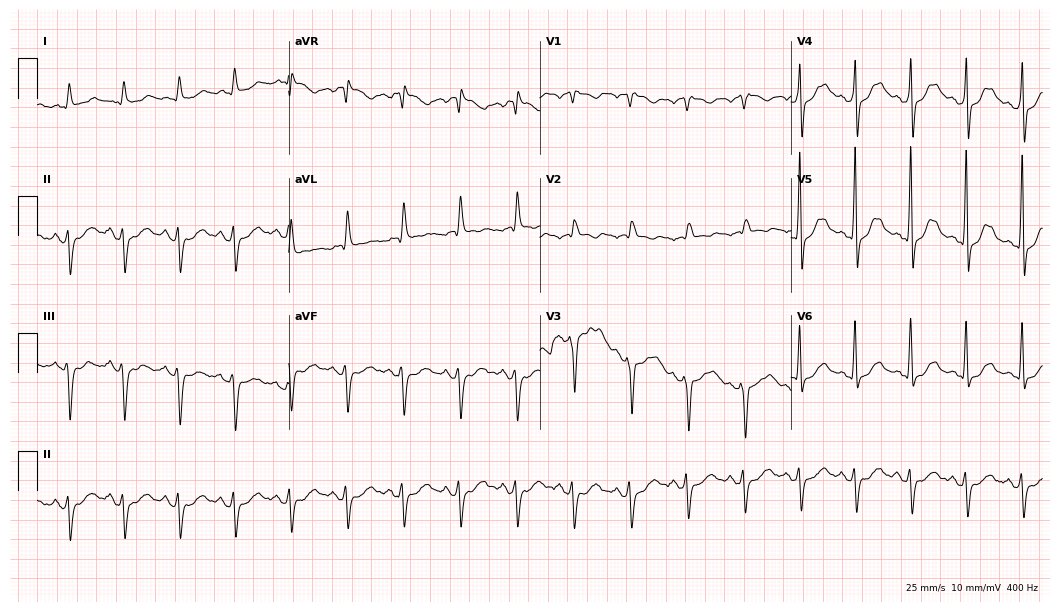
Electrocardiogram (10.2-second recording at 400 Hz), a man, 54 years old. Of the six screened findings (first-degree AV block, right bundle branch block (RBBB), left bundle branch block (LBBB), sinus bradycardia, atrial fibrillation (AF), sinus tachycardia), none is recorded. Findings outside these six are not listed.